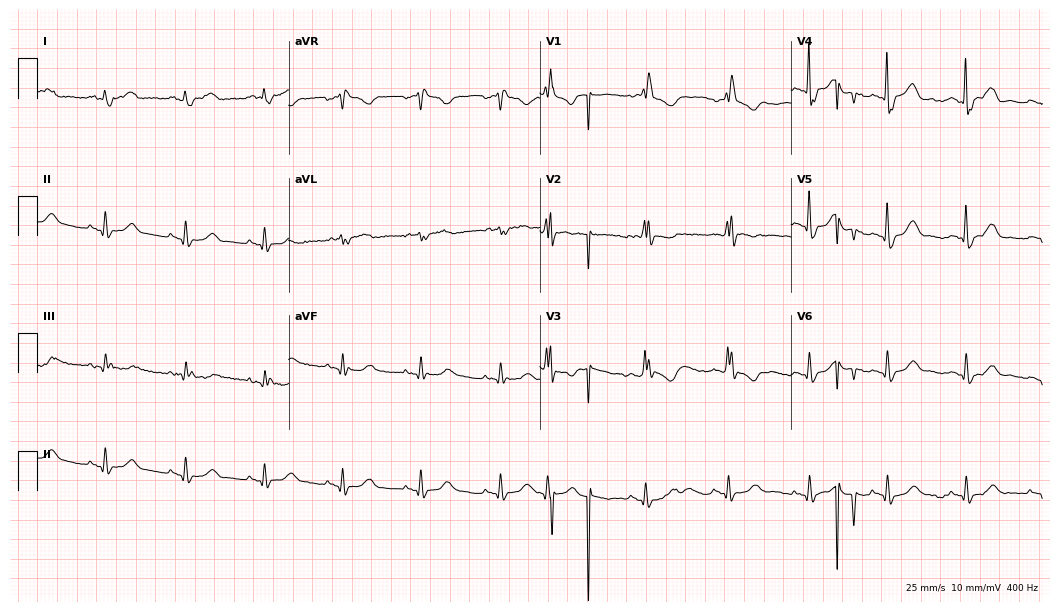
Resting 12-lead electrocardiogram (10.2-second recording at 400 Hz). Patient: a male, 81 years old. None of these six findings is recorded: first-degree AV block, right bundle branch block, left bundle branch block, sinus bradycardia, atrial fibrillation, sinus tachycardia.